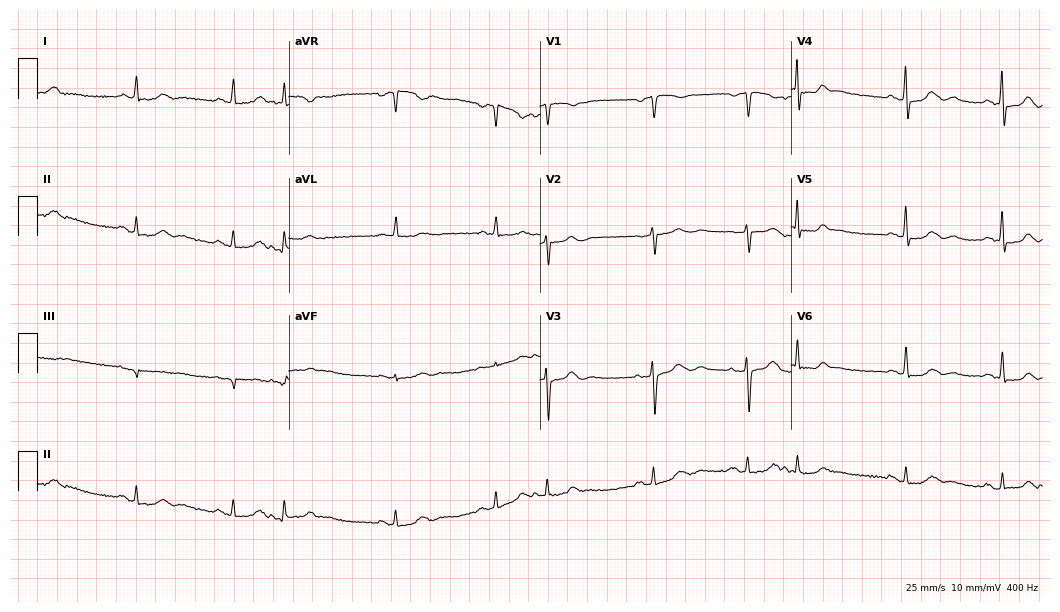
Resting 12-lead electrocardiogram (10.2-second recording at 400 Hz). Patient: a female, 60 years old. None of these six findings is recorded: first-degree AV block, right bundle branch block, left bundle branch block, sinus bradycardia, atrial fibrillation, sinus tachycardia.